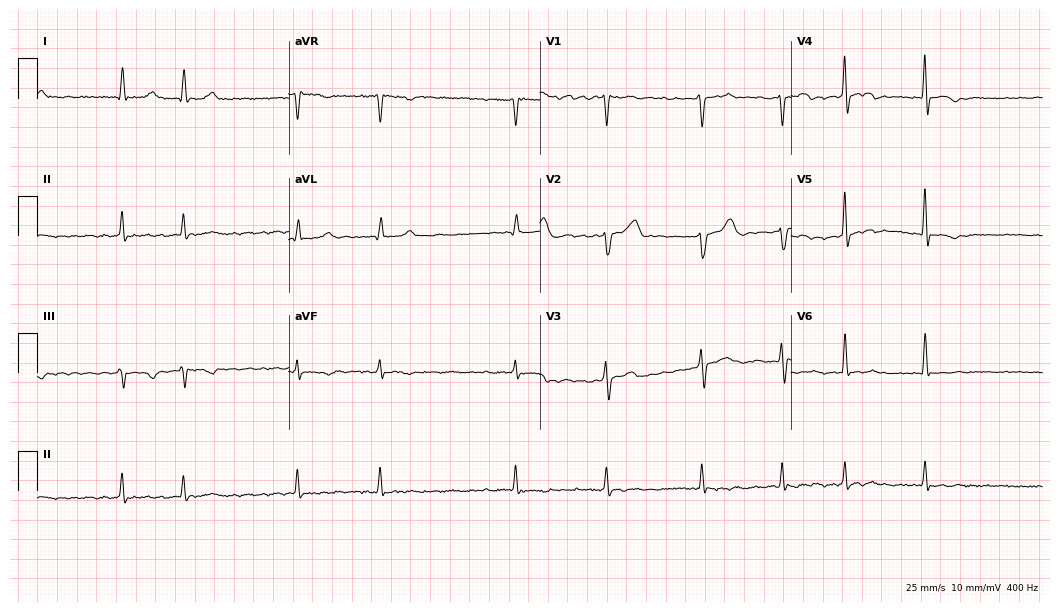
12-lead ECG (10.2-second recording at 400 Hz) from a 56-year-old male patient. Findings include atrial fibrillation (AF).